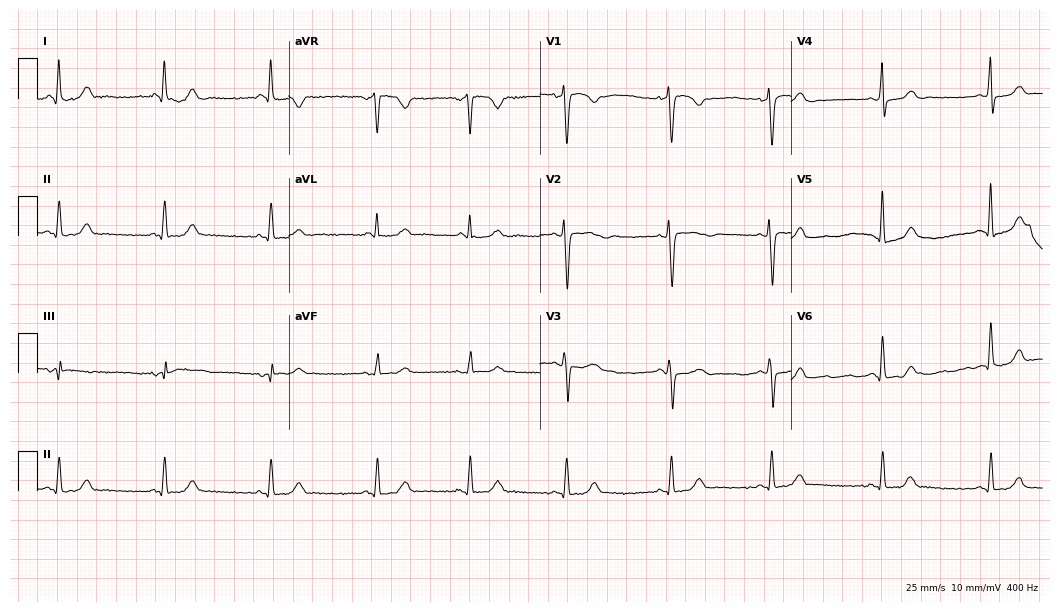
Resting 12-lead electrocardiogram (10.2-second recording at 400 Hz). Patient: a female, 38 years old. None of these six findings is recorded: first-degree AV block, right bundle branch block, left bundle branch block, sinus bradycardia, atrial fibrillation, sinus tachycardia.